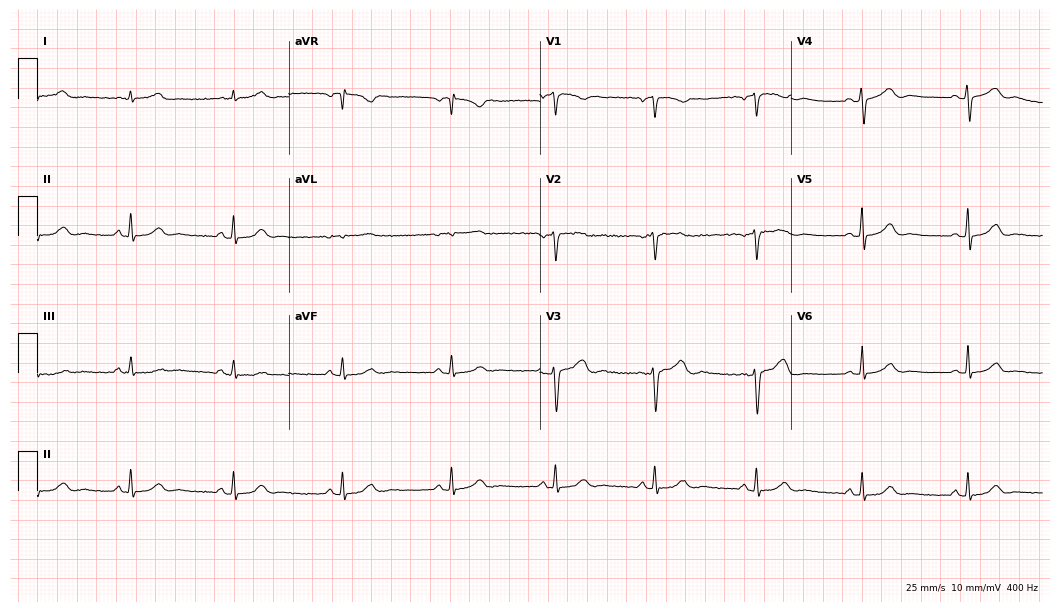
Resting 12-lead electrocardiogram (10.2-second recording at 400 Hz). Patient: a woman, 45 years old. Read as a normal ECG.